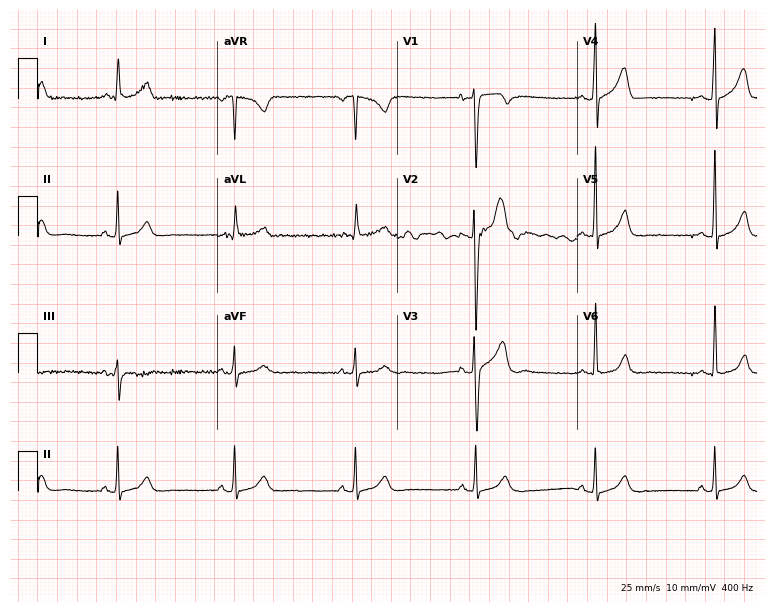
ECG — a 39-year-old man. Labelled as a normal ECG.